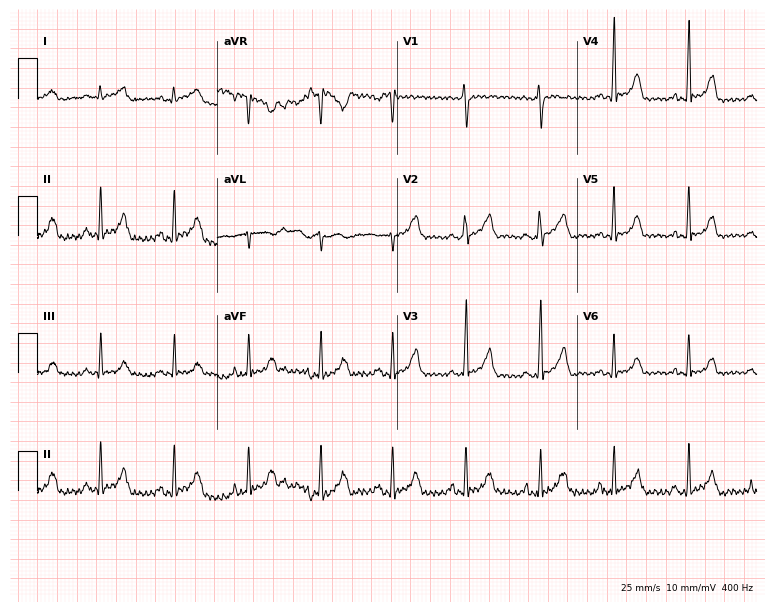
Electrocardiogram (7.3-second recording at 400 Hz), a 17-year-old female patient. Of the six screened findings (first-degree AV block, right bundle branch block (RBBB), left bundle branch block (LBBB), sinus bradycardia, atrial fibrillation (AF), sinus tachycardia), none is recorded. Other findings, if any, are not listed.